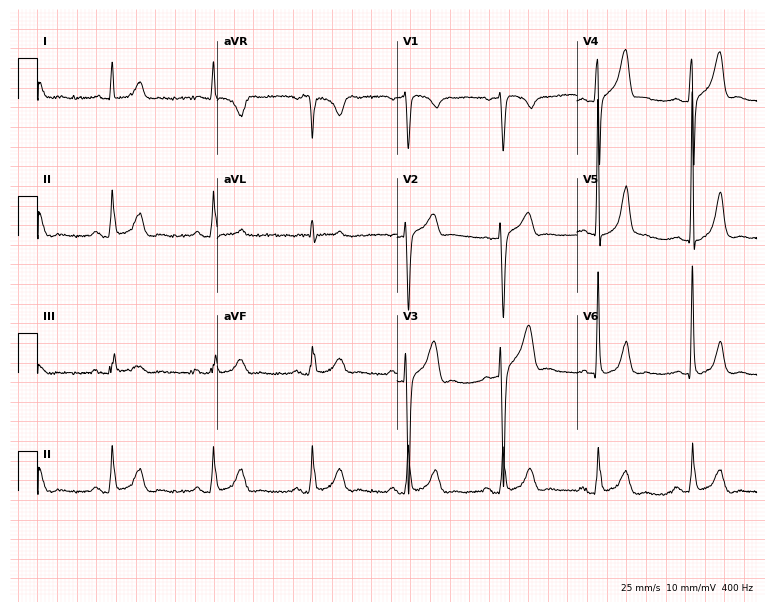
12-lead ECG from a male patient, 67 years old. Labelled as a normal ECG.